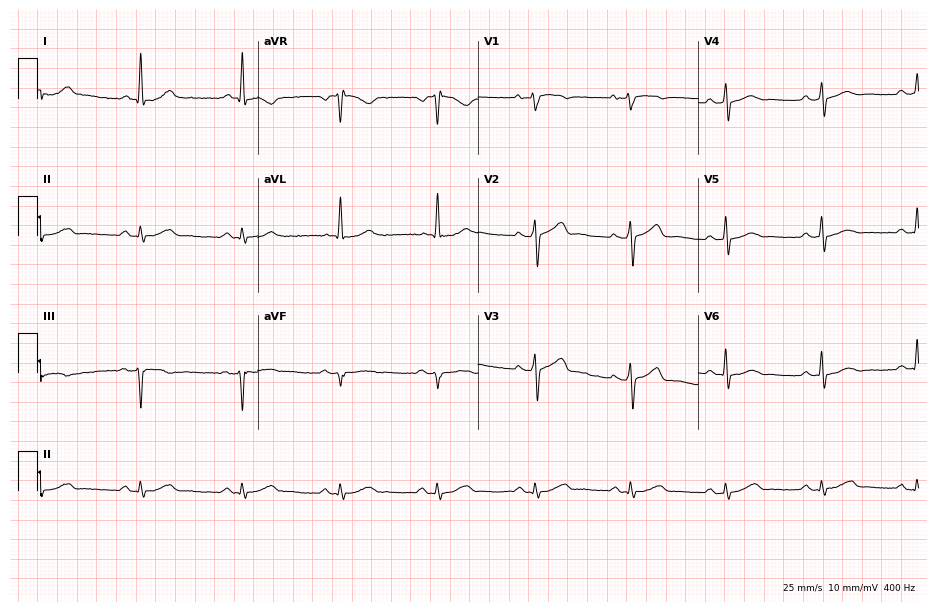
Electrocardiogram (9-second recording at 400 Hz), a 75-year-old female. Overall reading on record: normal ECG.